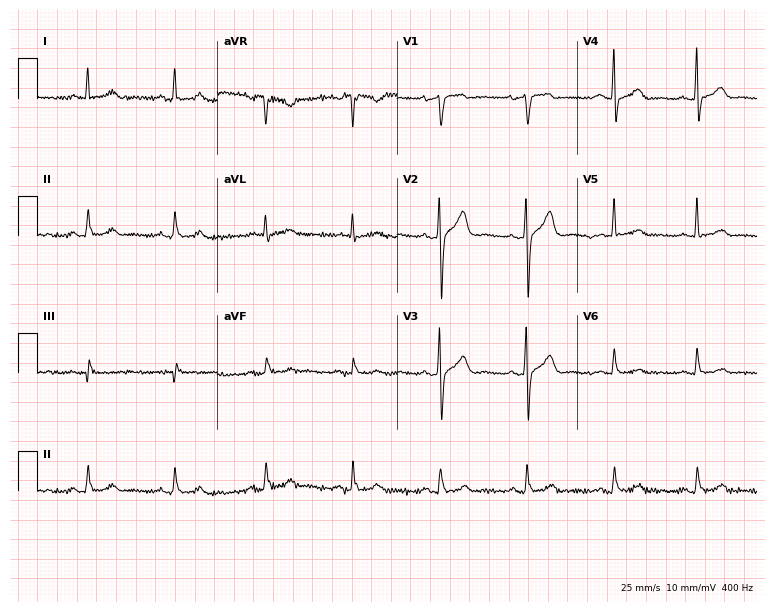
12-lead ECG from a man, 41 years old. Screened for six findings — first-degree AV block, right bundle branch block (RBBB), left bundle branch block (LBBB), sinus bradycardia, atrial fibrillation (AF), sinus tachycardia — none is recorded. Other findings, if any, are not listed.